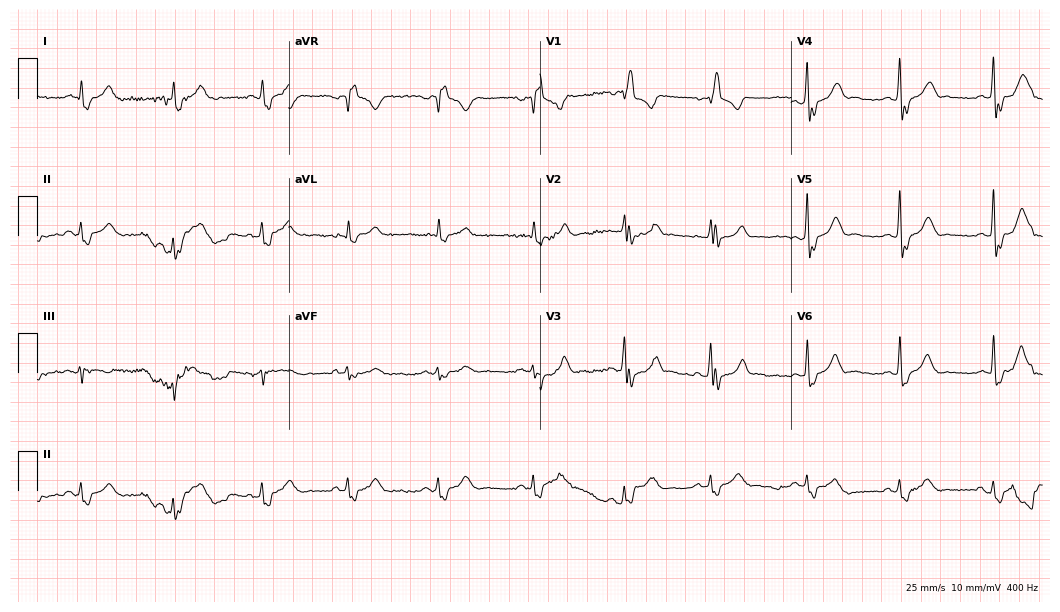
Resting 12-lead electrocardiogram (10.2-second recording at 400 Hz). Patient: a man, 67 years old. None of these six findings is recorded: first-degree AV block, right bundle branch block, left bundle branch block, sinus bradycardia, atrial fibrillation, sinus tachycardia. Findings outside these six are not listed.